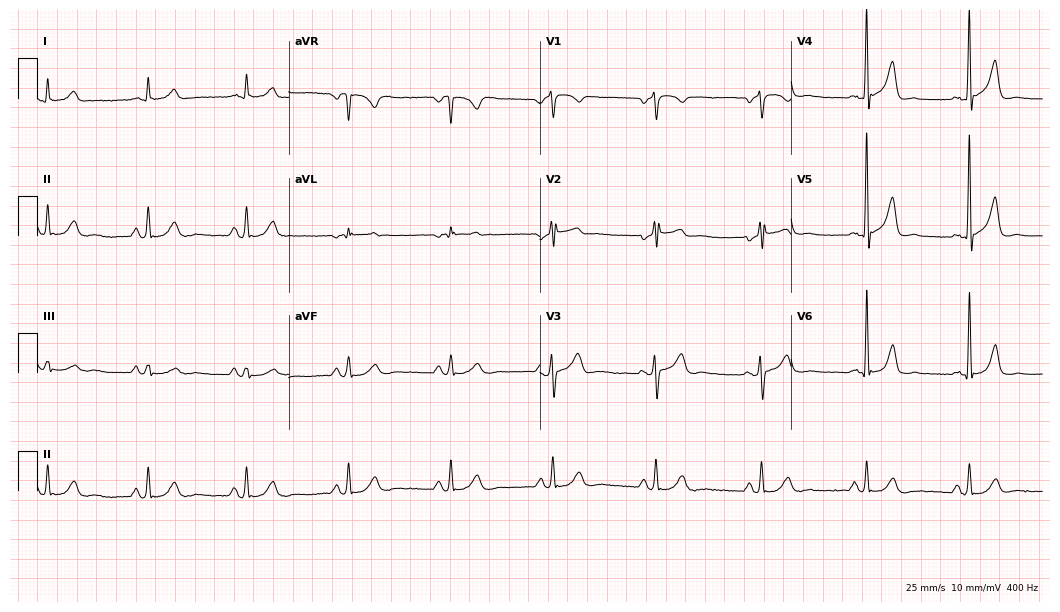
12-lead ECG (10.2-second recording at 400 Hz) from a 55-year-old male. Screened for six findings — first-degree AV block, right bundle branch block (RBBB), left bundle branch block (LBBB), sinus bradycardia, atrial fibrillation (AF), sinus tachycardia — none is recorded.